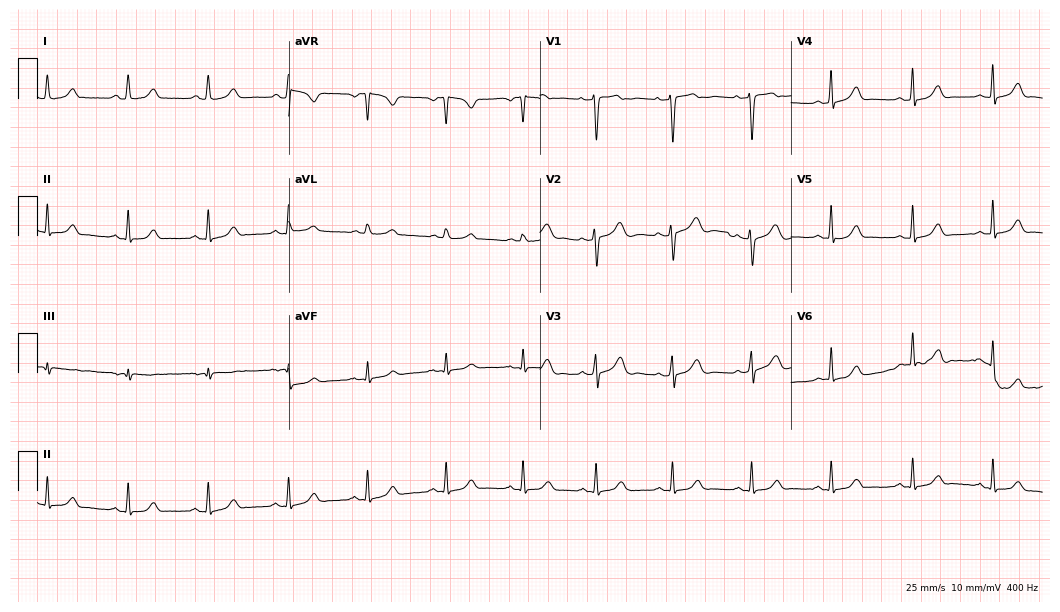
Resting 12-lead electrocardiogram. Patient: a woman, 31 years old. Read as a normal ECG.